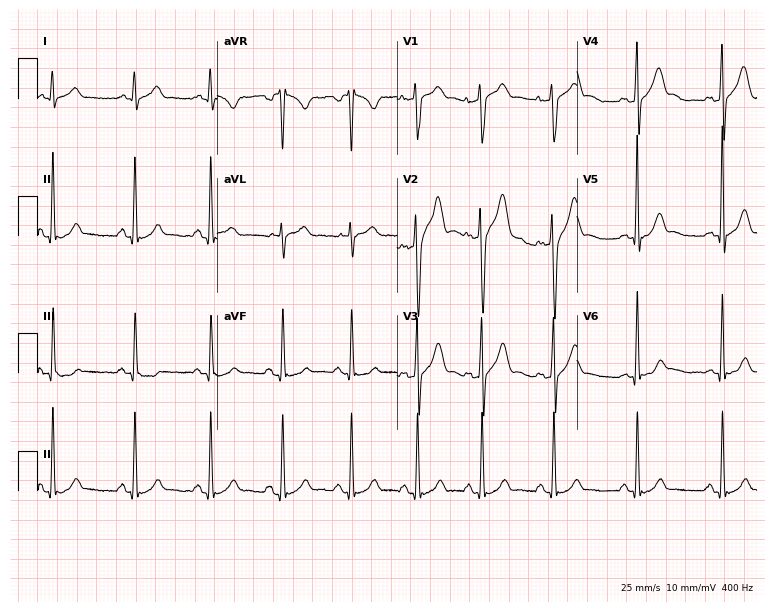
Resting 12-lead electrocardiogram. Patient: a 24-year-old man. Read as a normal ECG.